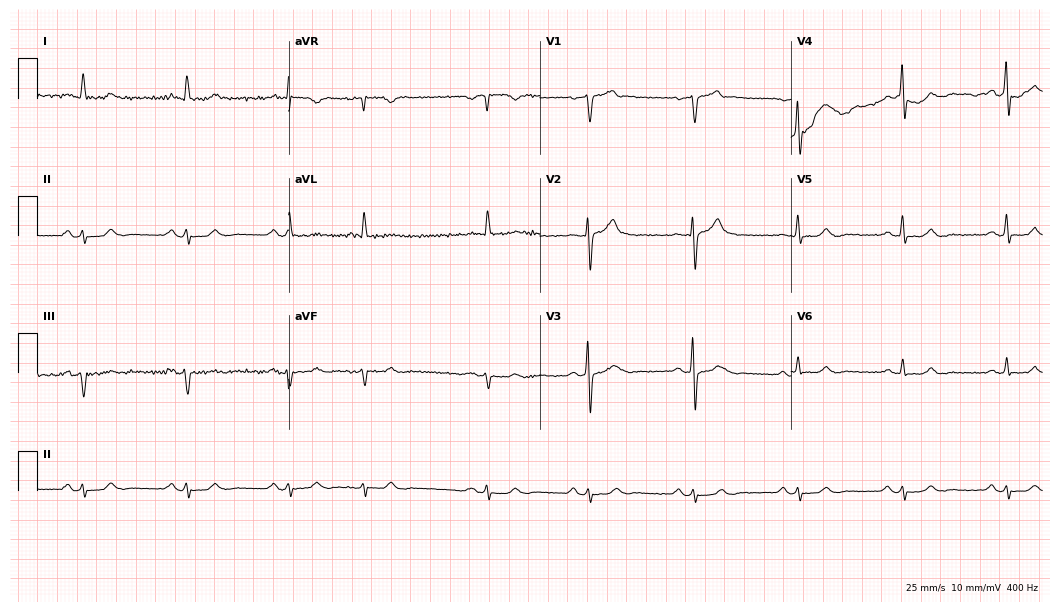
Standard 12-lead ECG recorded from a male, 80 years old (10.2-second recording at 400 Hz). None of these six findings is recorded: first-degree AV block, right bundle branch block (RBBB), left bundle branch block (LBBB), sinus bradycardia, atrial fibrillation (AF), sinus tachycardia.